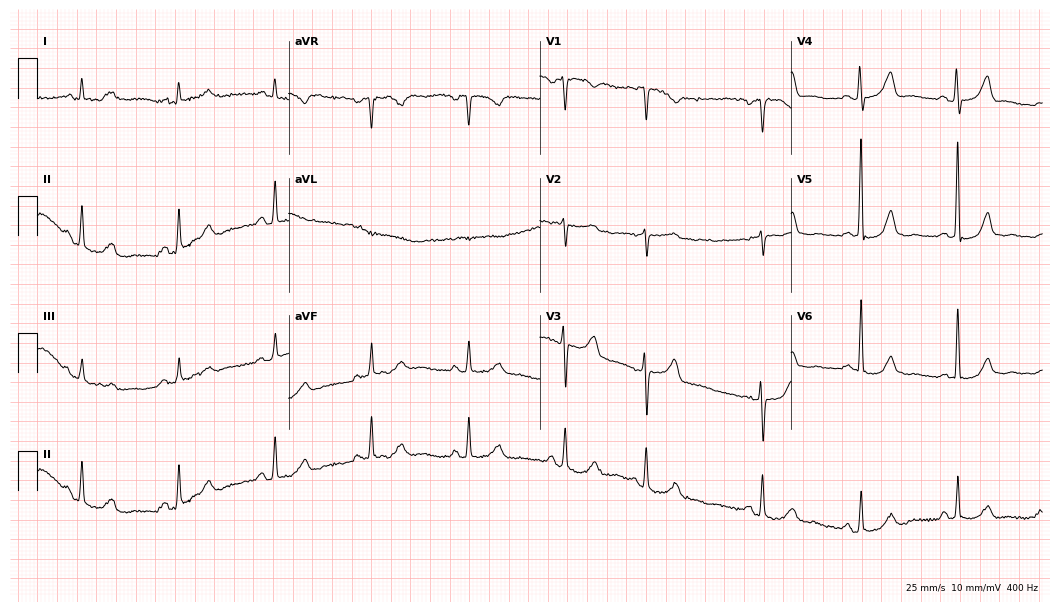
Electrocardiogram (10.2-second recording at 400 Hz), an 83-year-old man. Overall reading on record: normal ECG.